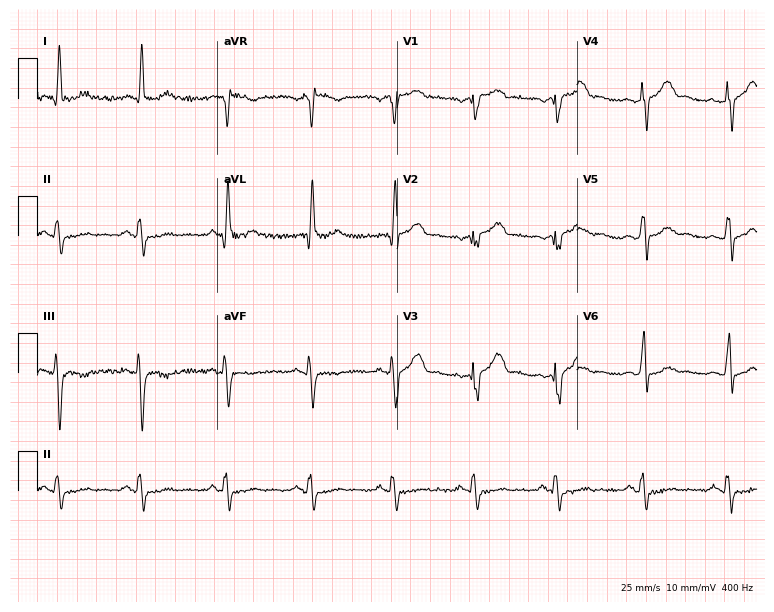
ECG (7.3-second recording at 400 Hz) — a 58-year-old male patient. Screened for six findings — first-degree AV block, right bundle branch block, left bundle branch block, sinus bradycardia, atrial fibrillation, sinus tachycardia — none is recorded. Only these six findings were labelled.